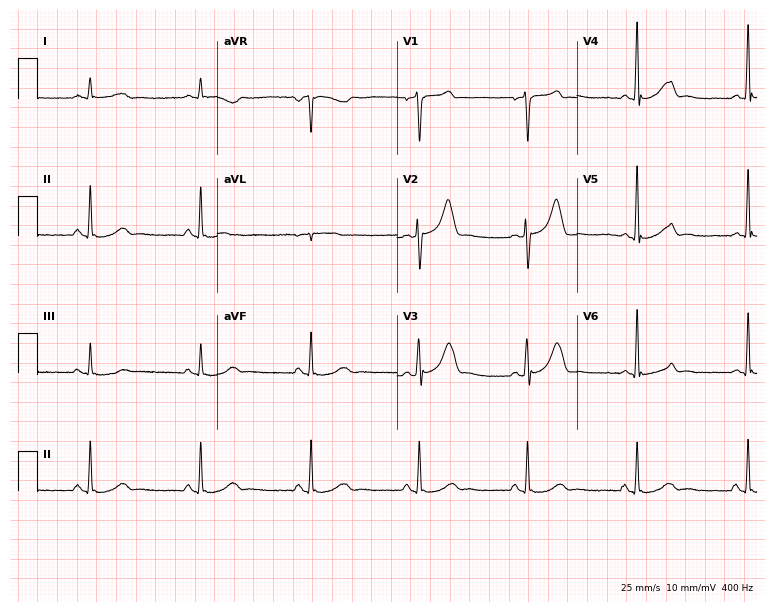
ECG (7.3-second recording at 400 Hz) — a 52-year-old man. Labelled as a normal ECG.